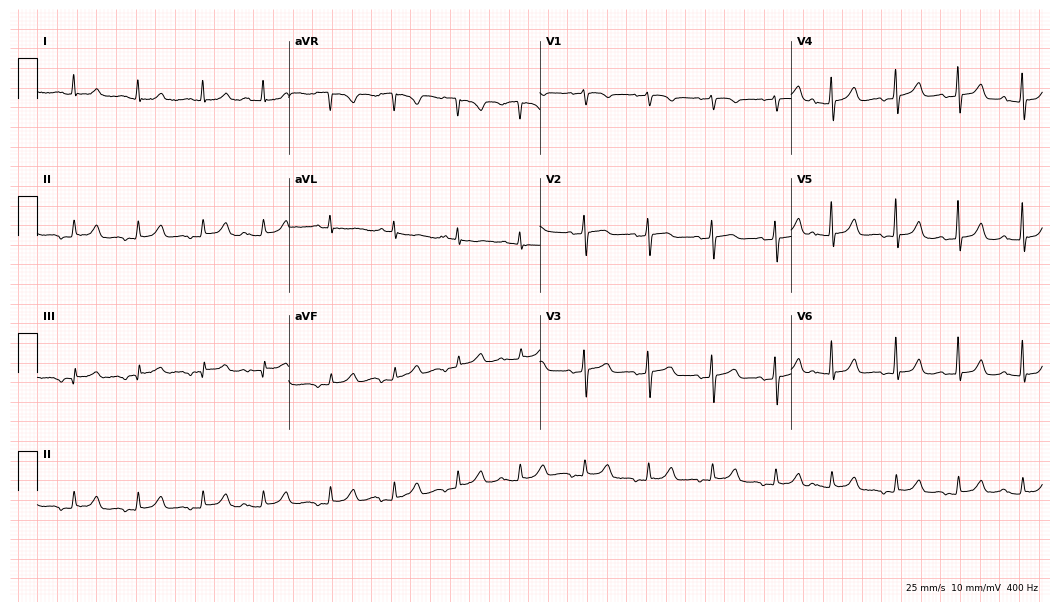
ECG (10.2-second recording at 400 Hz) — a woman, 81 years old. Screened for six findings — first-degree AV block, right bundle branch block (RBBB), left bundle branch block (LBBB), sinus bradycardia, atrial fibrillation (AF), sinus tachycardia — none is recorded.